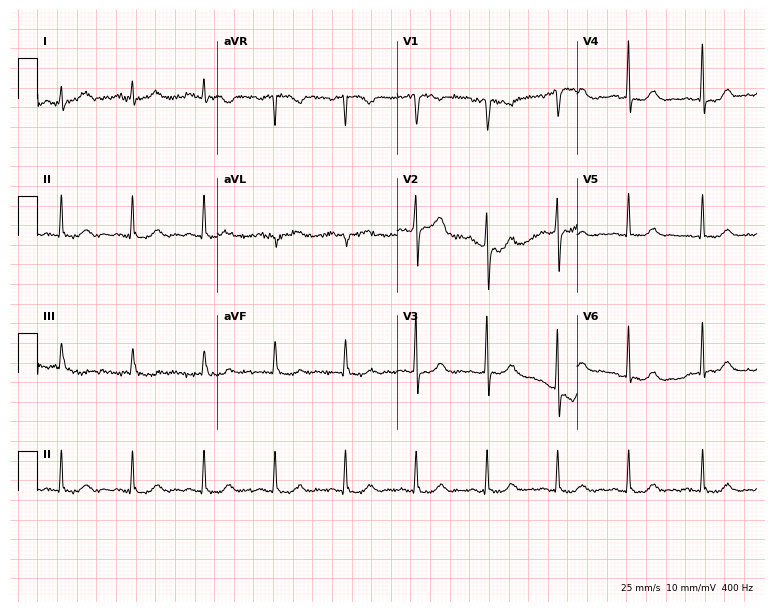
Resting 12-lead electrocardiogram. Patient: a female, 42 years old. None of these six findings is recorded: first-degree AV block, right bundle branch block, left bundle branch block, sinus bradycardia, atrial fibrillation, sinus tachycardia.